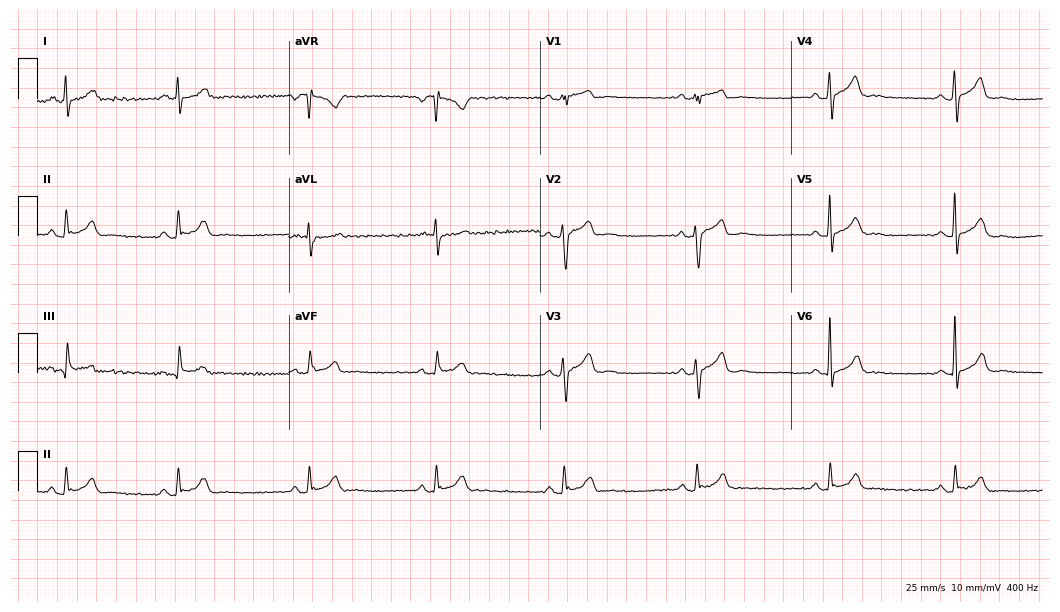
12-lead ECG from a male patient, 31 years old. Findings include sinus bradycardia (a sinus rate of 50 beats per minute or less).